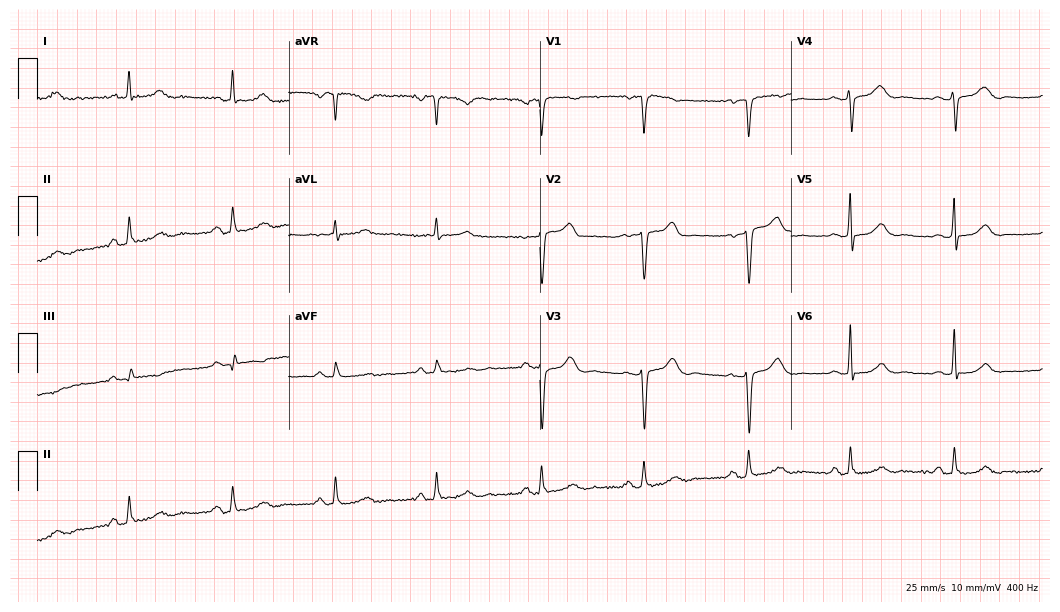
12-lead ECG (10.2-second recording at 400 Hz) from a 46-year-old female. Labelled as a normal ECG.